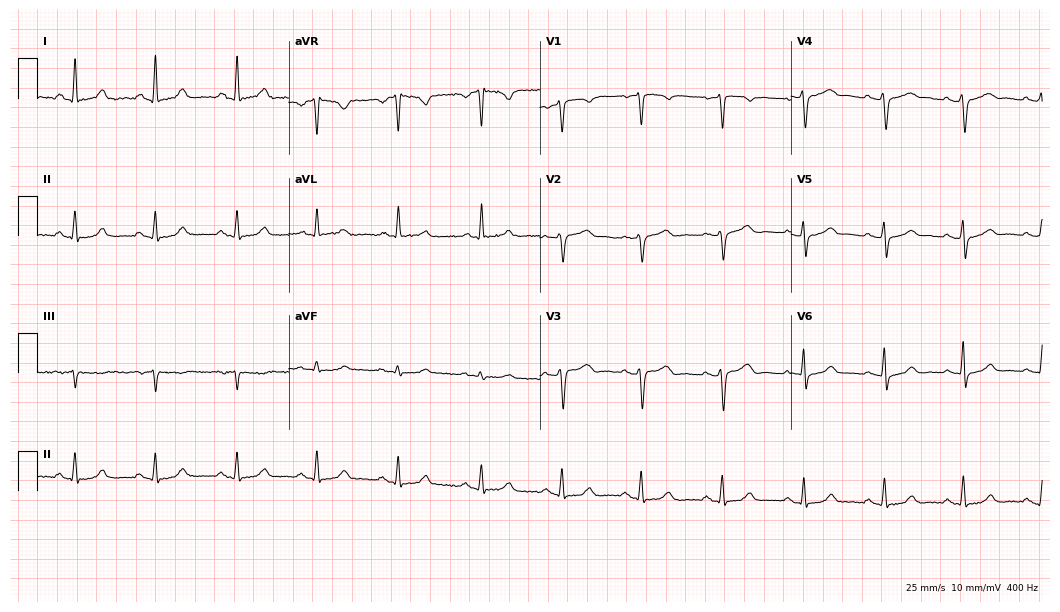
Standard 12-lead ECG recorded from a 59-year-old female patient. Read as a normal ECG.